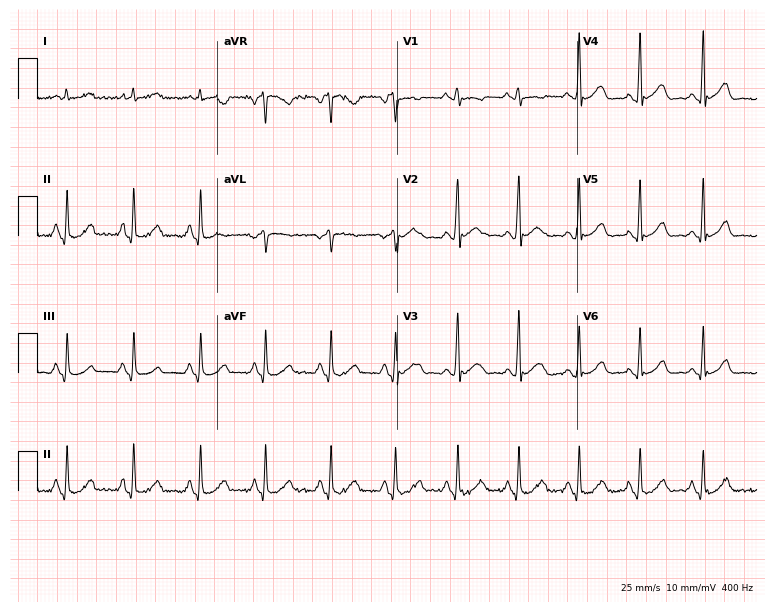
Standard 12-lead ECG recorded from a man, 43 years old. Read as a normal ECG.